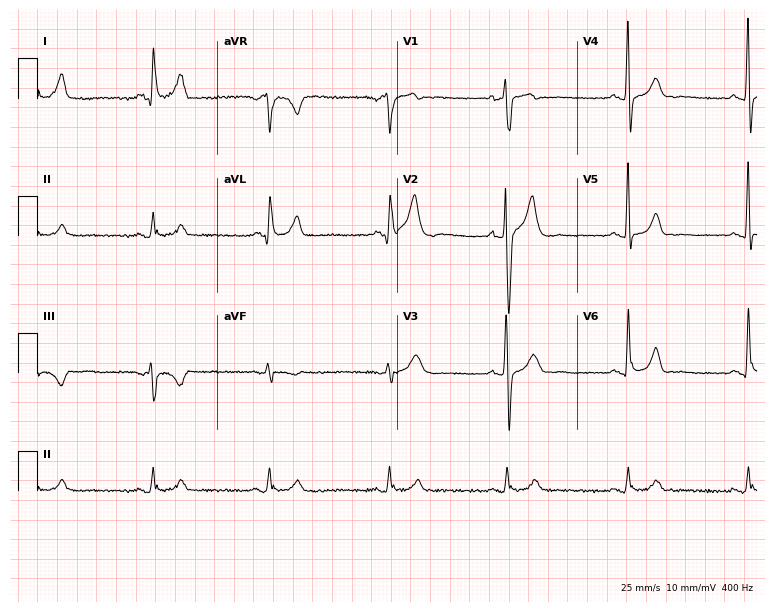
12-lead ECG from a 48-year-old male (7.3-second recording at 400 Hz). Recorded interpretation: within normal limits.